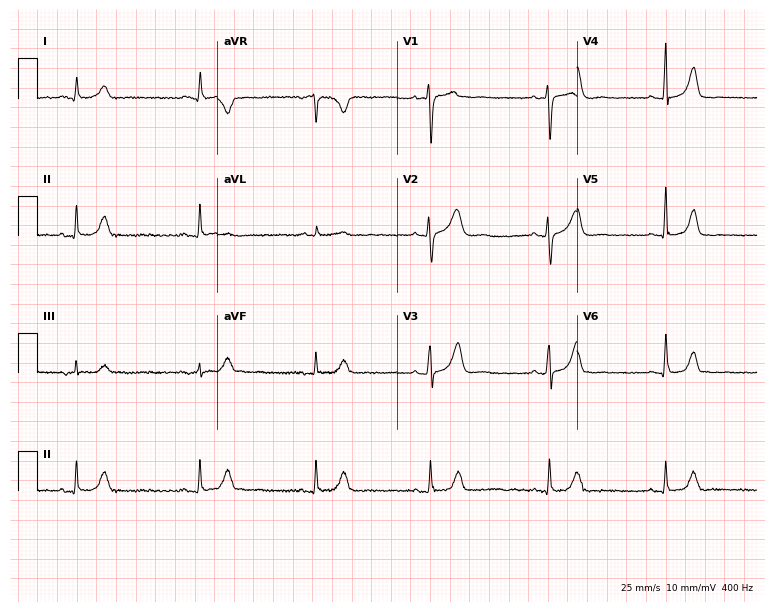
12-lead ECG from a 49-year-old female. Labelled as a normal ECG.